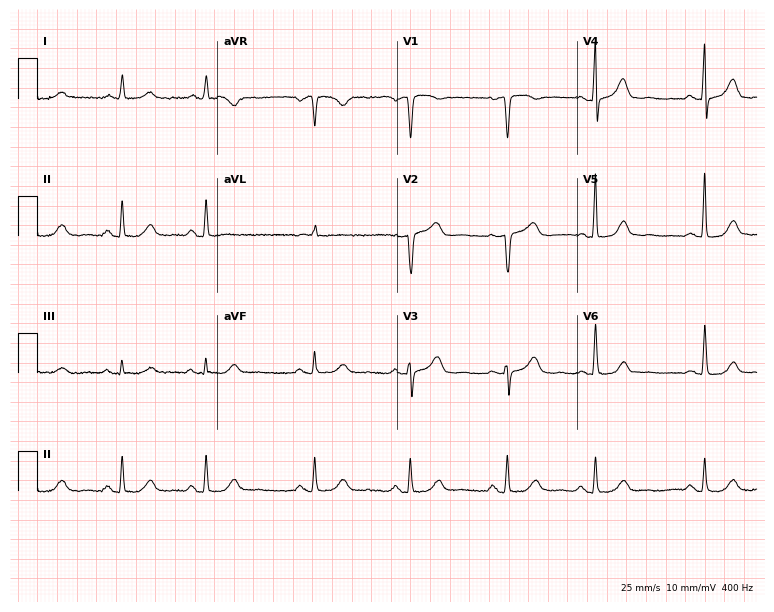
12-lead ECG from an 80-year-old male. Labelled as a normal ECG.